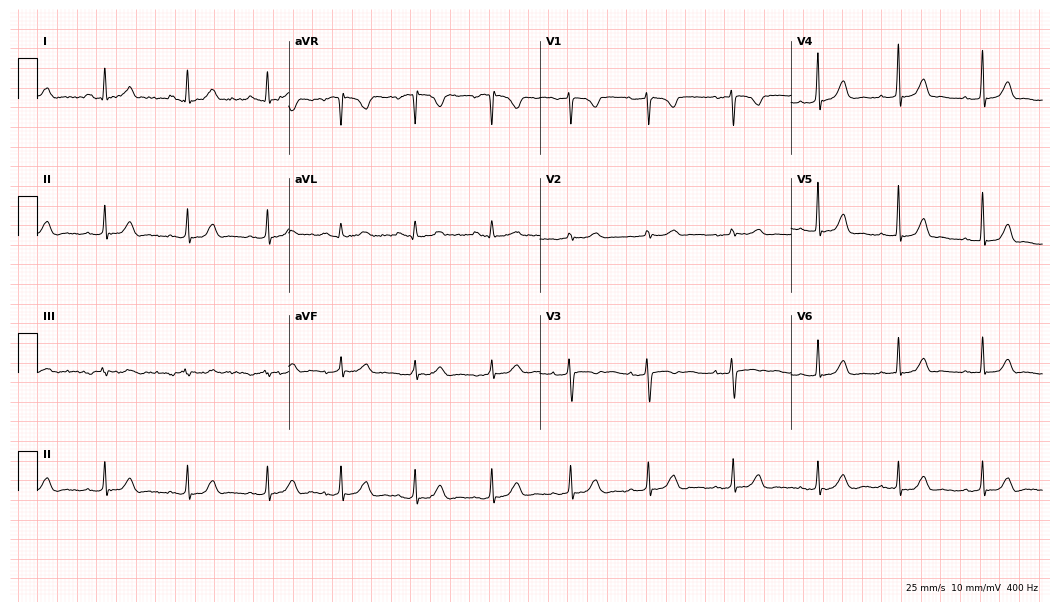
ECG (10.2-second recording at 400 Hz) — a male patient, 28 years old. Labelled as a normal ECG.